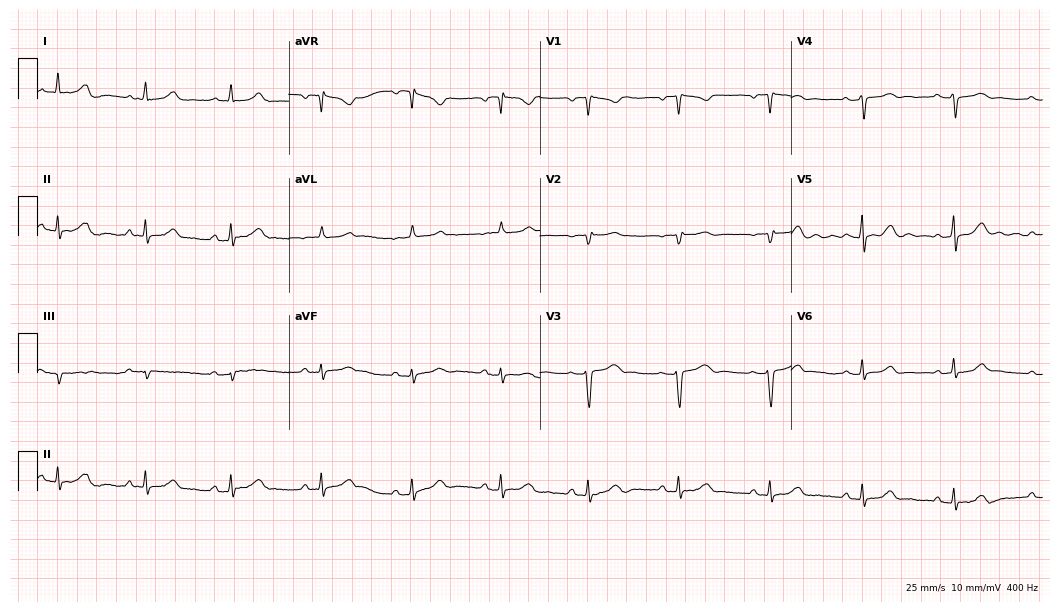
Resting 12-lead electrocardiogram (10.2-second recording at 400 Hz). Patient: a 43-year-old female. None of these six findings is recorded: first-degree AV block, right bundle branch block, left bundle branch block, sinus bradycardia, atrial fibrillation, sinus tachycardia.